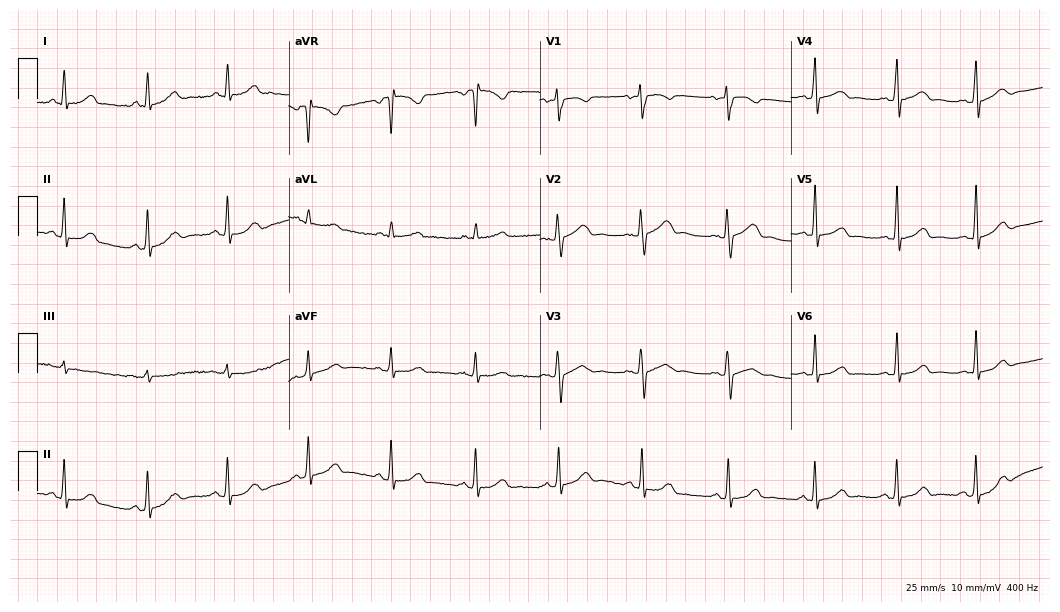
Standard 12-lead ECG recorded from a 24-year-old female. Read as a normal ECG.